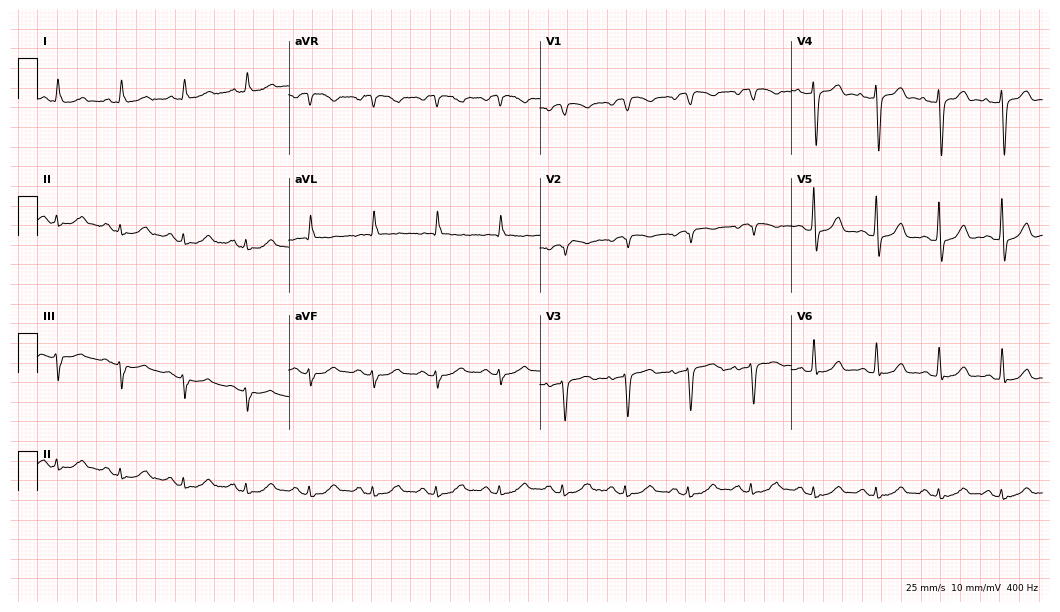
12-lead ECG (10.2-second recording at 400 Hz) from an 86-year-old male patient. Screened for six findings — first-degree AV block, right bundle branch block (RBBB), left bundle branch block (LBBB), sinus bradycardia, atrial fibrillation (AF), sinus tachycardia — none is recorded.